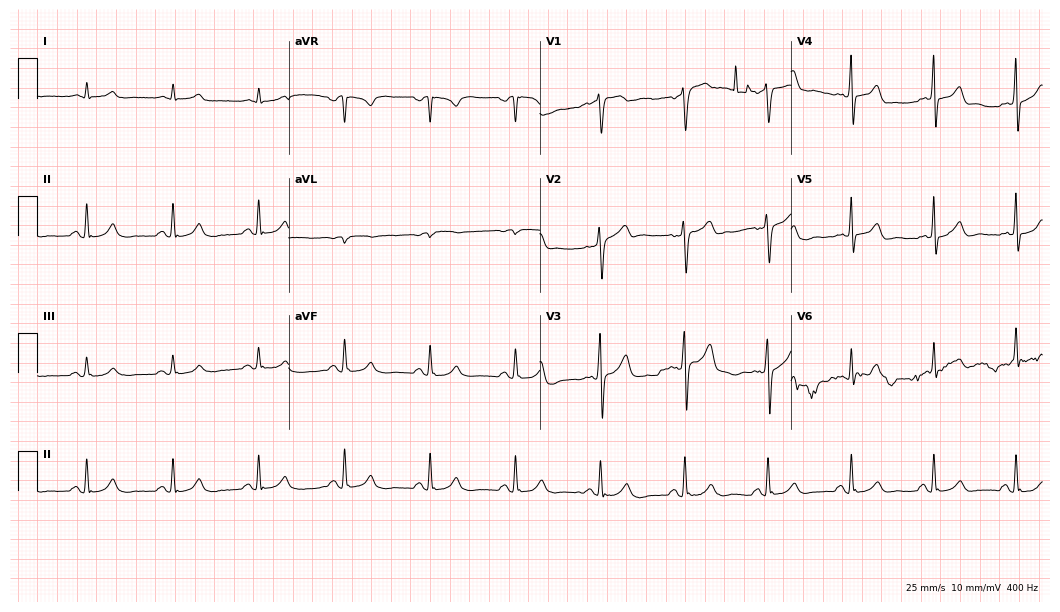
Electrocardiogram (10.2-second recording at 400 Hz), a 71-year-old male patient. Overall reading on record: normal ECG.